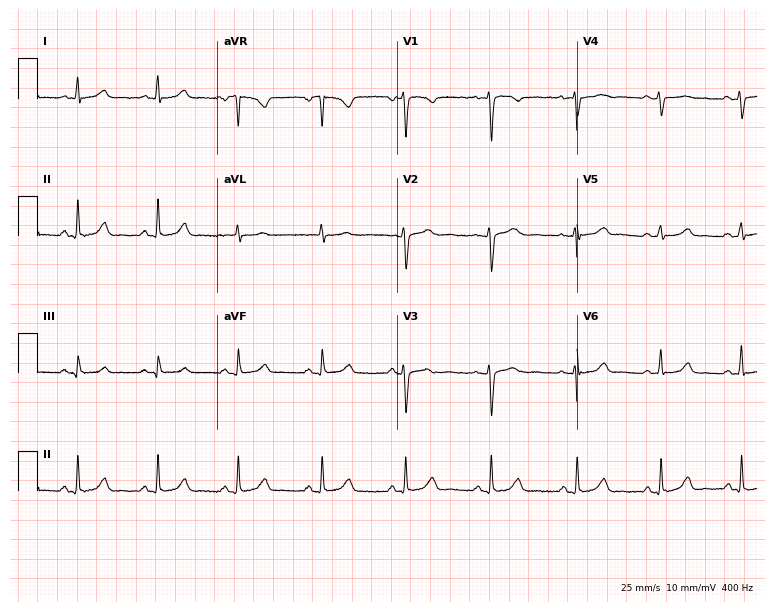
12-lead ECG from a 44-year-old female. Labelled as a normal ECG.